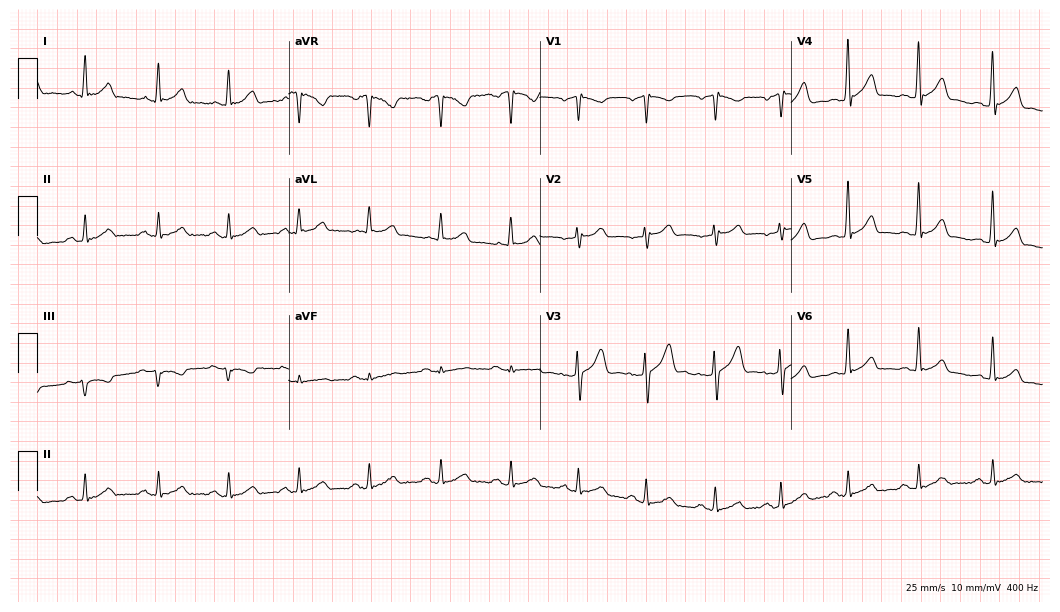
Resting 12-lead electrocardiogram. Patient: a male, 32 years old. Read as a normal ECG.